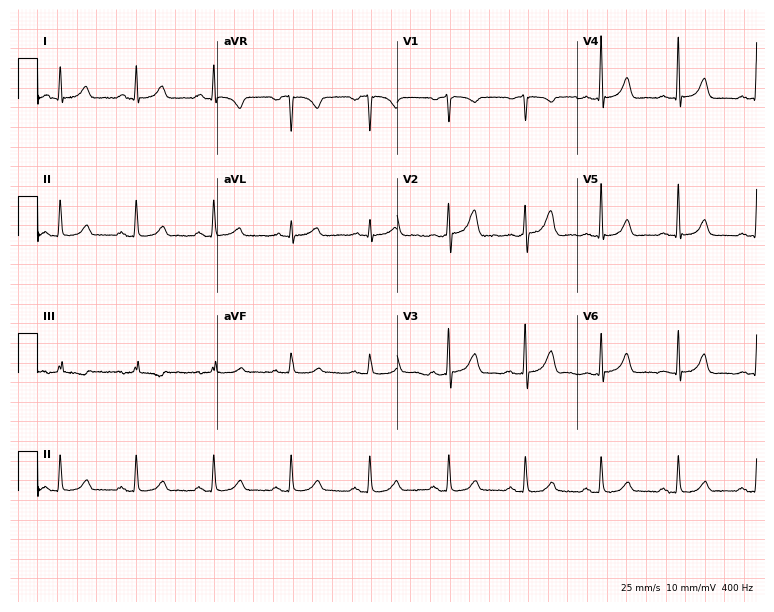
Electrocardiogram, a woman, 45 years old. Overall reading on record: normal ECG.